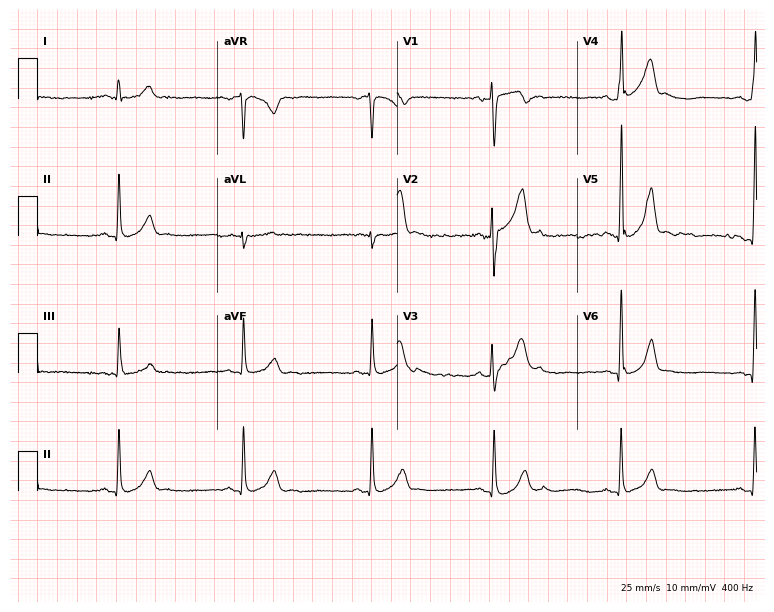
12-lead ECG from a 41-year-old man. Screened for six findings — first-degree AV block, right bundle branch block, left bundle branch block, sinus bradycardia, atrial fibrillation, sinus tachycardia — none is recorded.